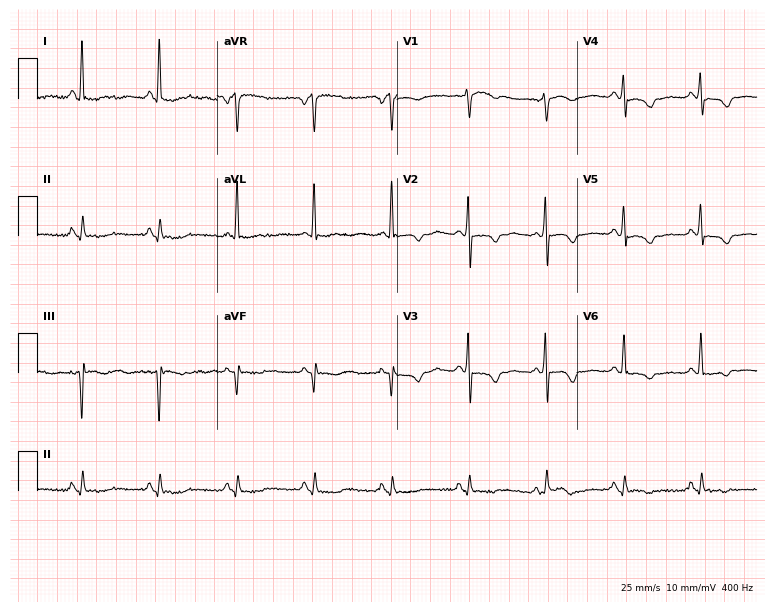
ECG (7.3-second recording at 400 Hz) — a woman, 79 years old. Screened for six findings — first-degree AV block, right bundle branch block (RBBB), left bundle branch block (LBBB), sinus bradycardia, atrial fibrillation (AF), sinus tachycardia — none is recorded.